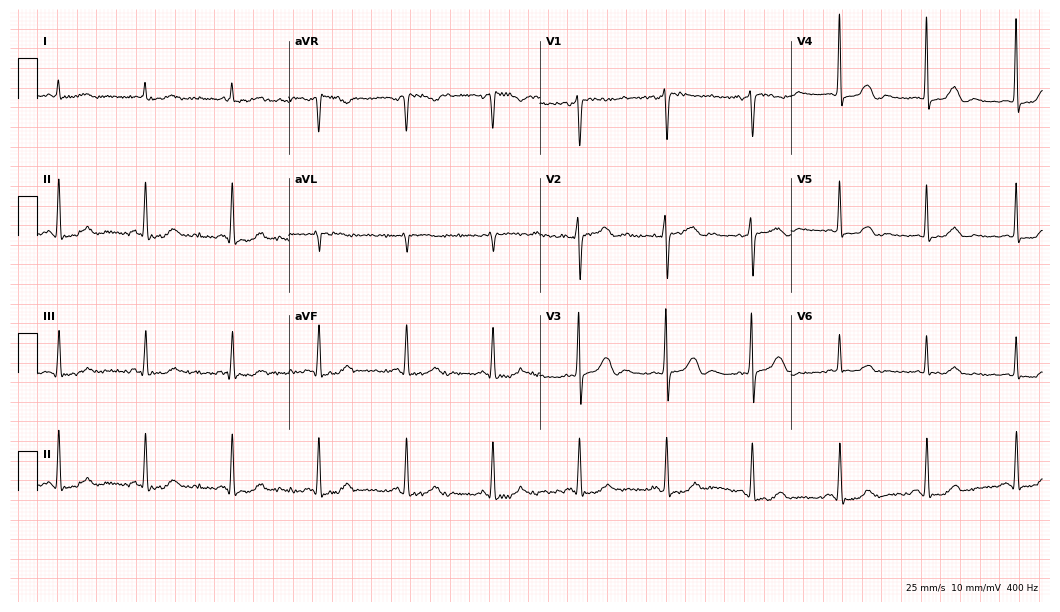
Electrocardiogram, an 80-year-old female patient. Of the six screened findings (first-degree AV block, right bundle branch block, left bundle branch block, sinus bradycardia, atrial fibrillation, sinus tachycardia), none is recorded. Only these six findings were labelled.